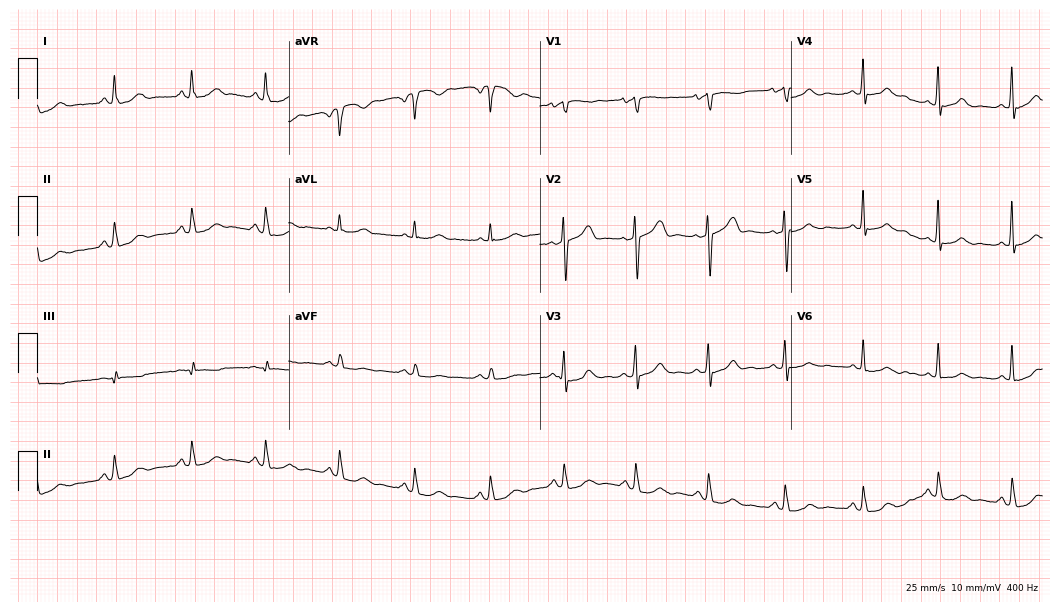
12-lead ECG from a female, 55 years old. Labelled as a normal ECG.